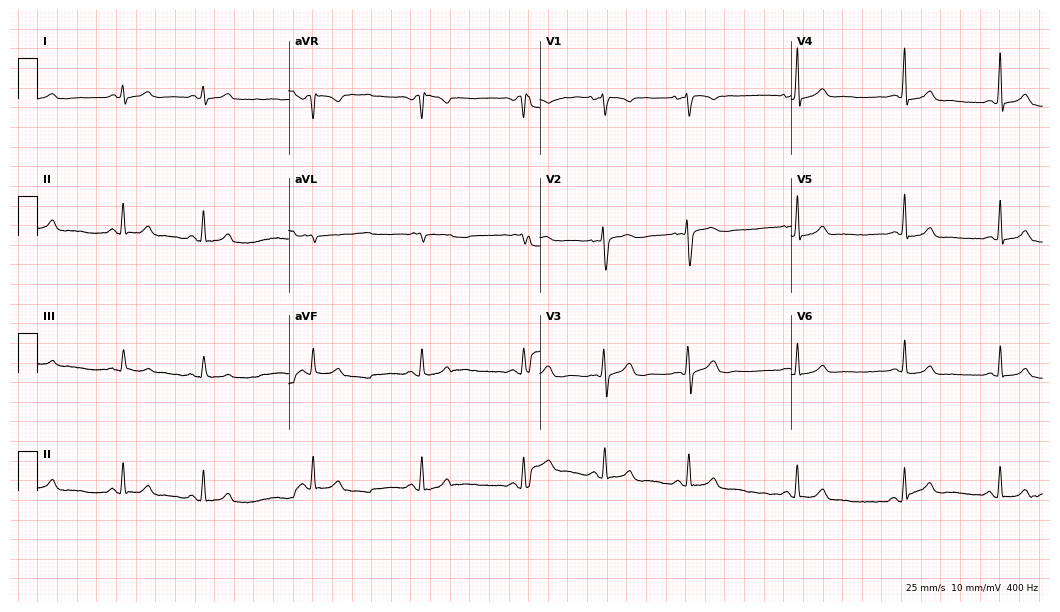
Standard 12-lead ECG recorded from a female patient, 18 years old. None of these six findings is recorded: first-degree AV block, right bundle branch block (RBBB), left bundle branch block (LBBB), sinus bradycardia, atrial fibrillation (AF), sinus tachycardia. Other findings, if any, are not listed.